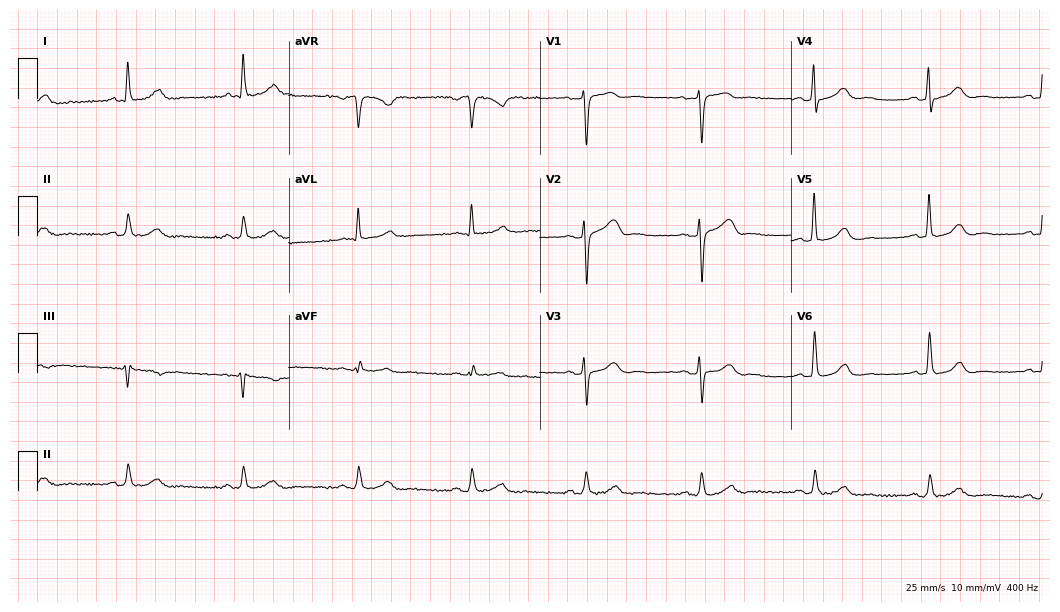
Electrocardiogram, a male patient, 72 years old. Overall reading on record: normal ECG.